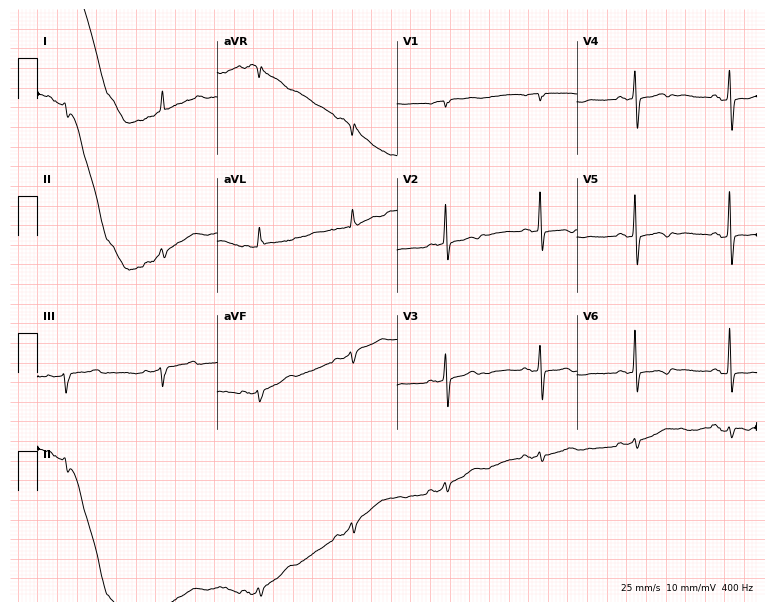
Standard 12-lead ECG recorded from a female patient, 82 years old. None of these six findings is recorded: first-degree AV block, right bundle branch block, left bundle branch block, sinus bradycardia, atrial fibrillation, sinus tachycardia.